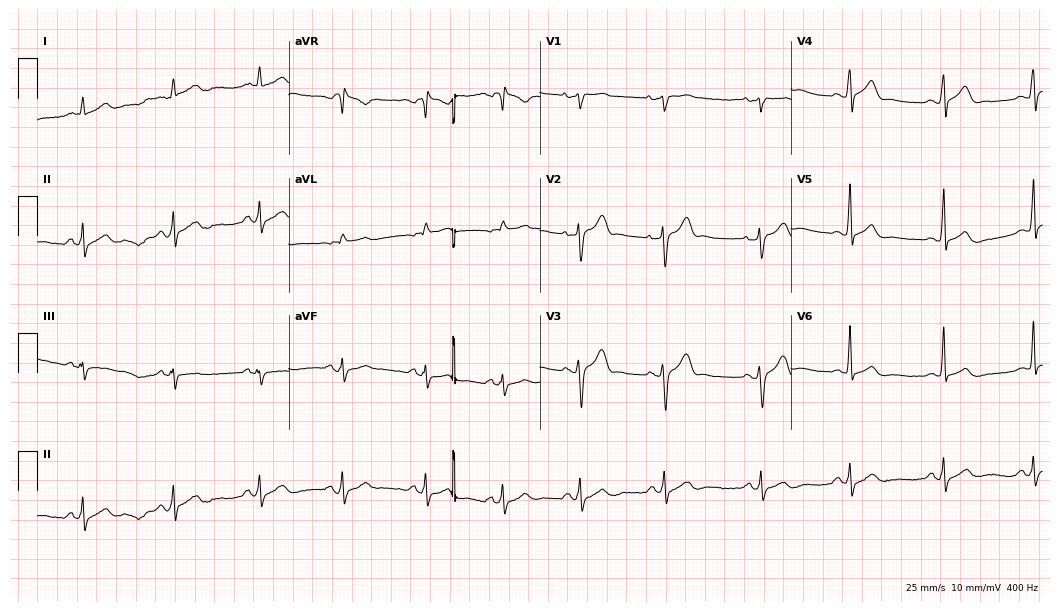
12-lead ECG from a man, 31 years old (10.2-second recording at 400 Hz). No first-degree AV block, right bundle branch block, left bundle branch block, sinus bradycardia, atrial fibrillation or sinus tachycardia recorded for this tracing.